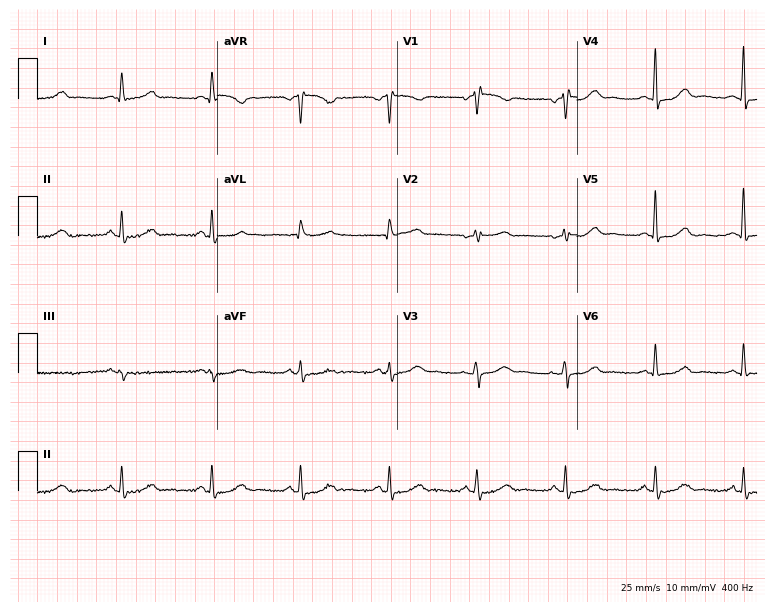
12-lead ECG from a woman, 57 years old. Screened for six findings — first-degree AV block, right bundle branch block, left bundle branch block, sinus bradycardia, atrial fibrillation, sinus tachycardia — none is recorded.